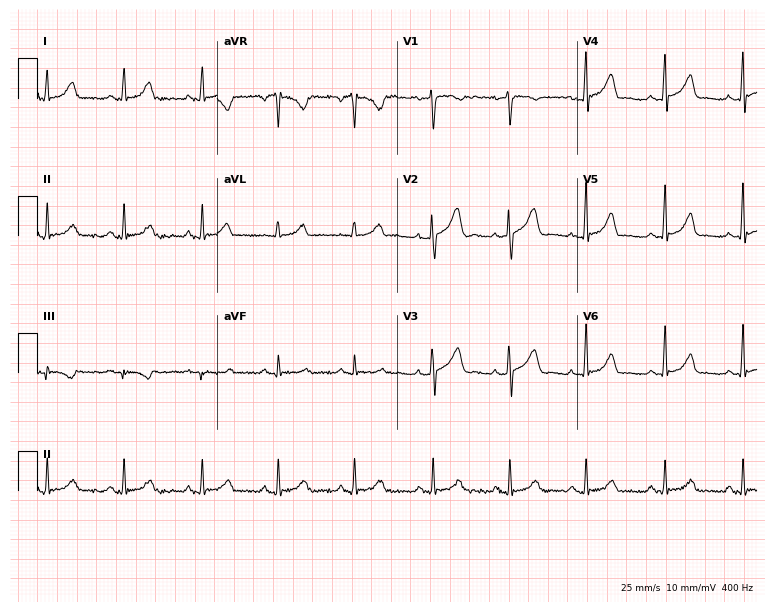
Standard 12-lead ECG recorded from a 33-year-old woman. Read as a normal ECG.